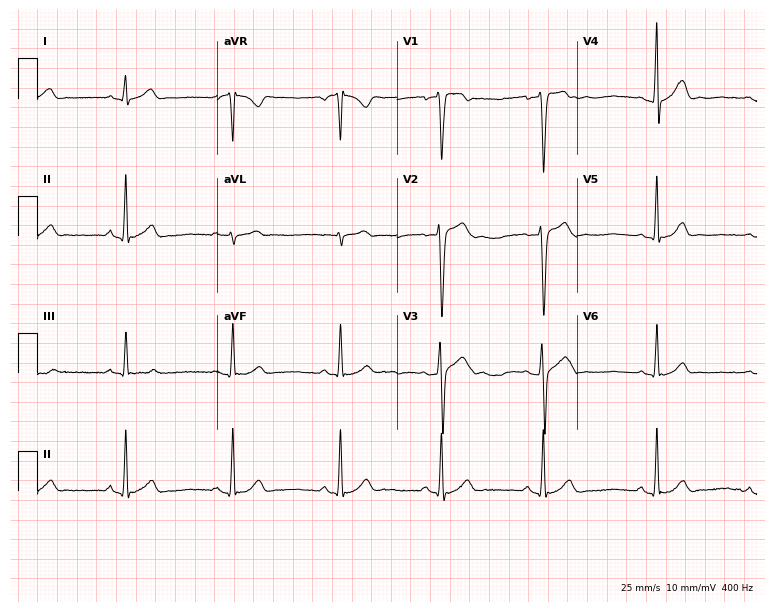
12-lead ECG from a 23-year-old male patient. Recorded interpretation: within normal limits.